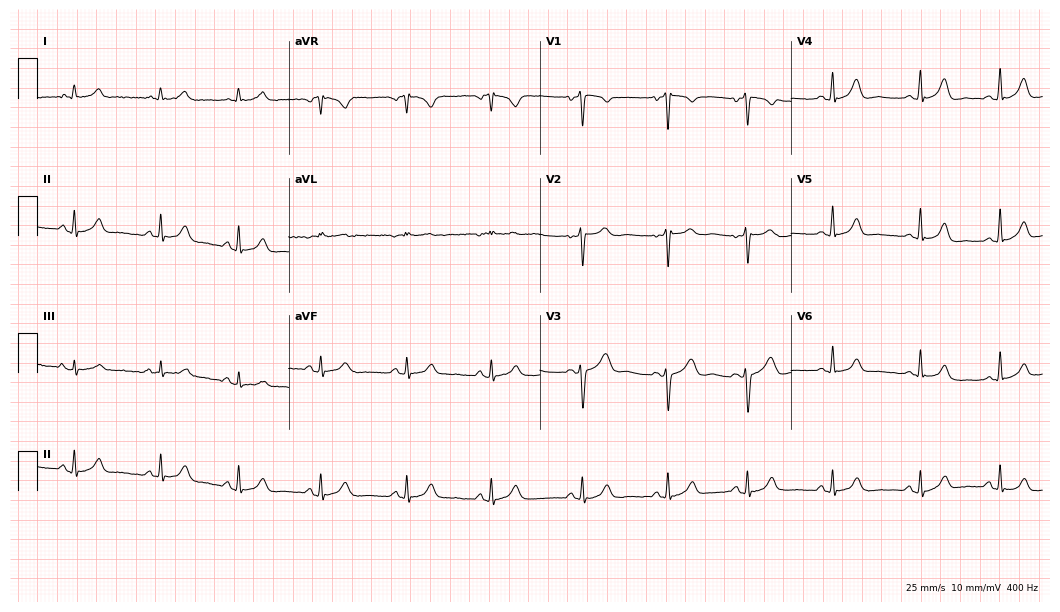
Standard 12-lead ECG recorded from a 35-year-old woman (10.2-second recording at 400 Hz). None of these six findings is recorded: first-degree AV block, right bundle branch block, left bundle branch block, sinus bradycardia, atrial fibrillation, sinus tachycardia. Other findings, if any, are not listed.